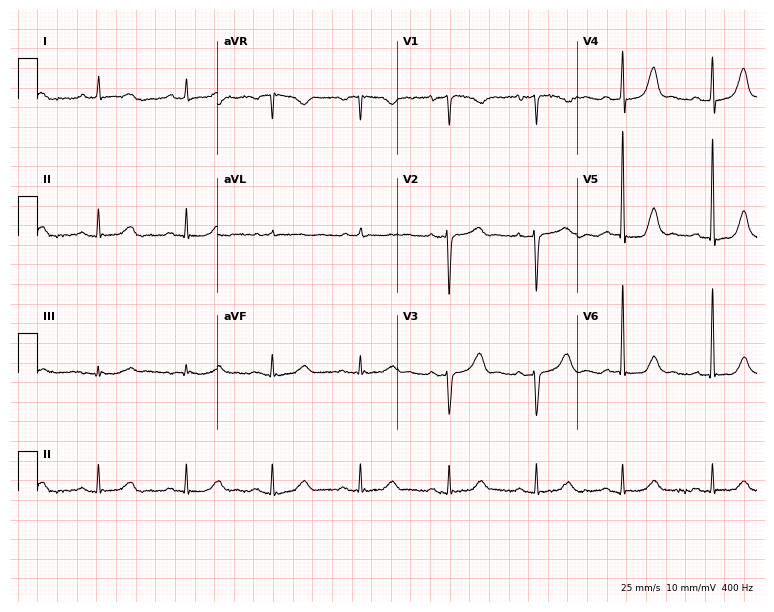
Standard 12-lead ECG recorded from a female patient, 75 years old (7.3-second recording at 400 Hz). Read as a normal ECG.